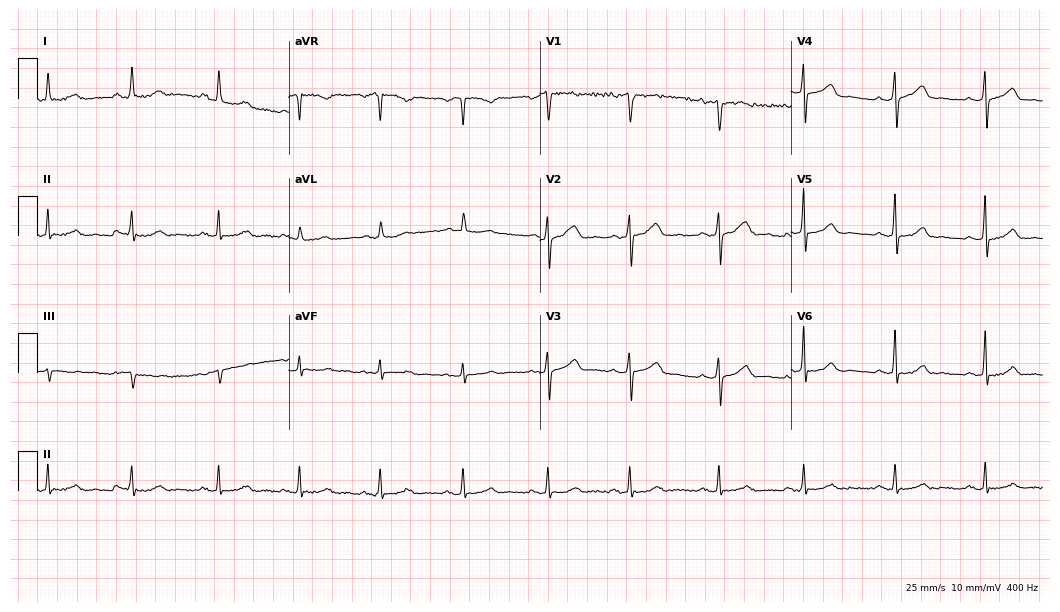
12-lead ECG from a female patient, 50 years old. Recorded interpretation: within normal limits.